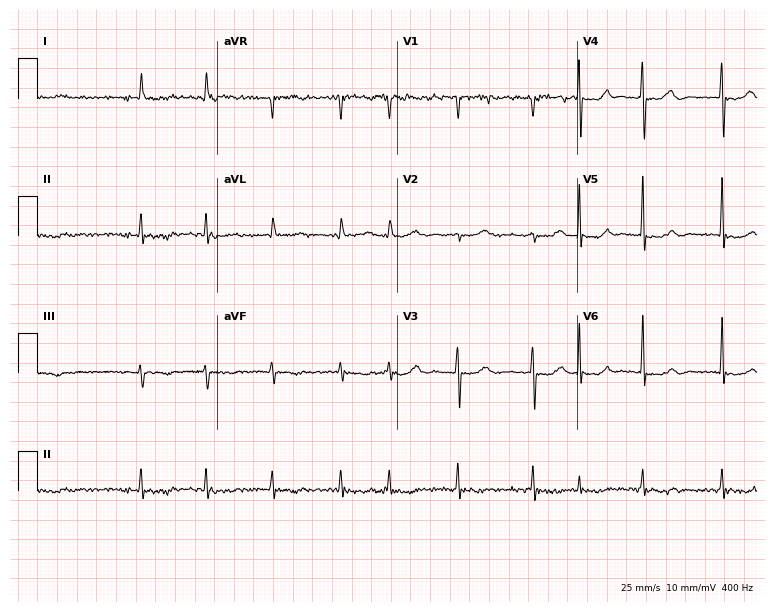
ECG — an 81-year-old male. Findings include atrial fibrillation.